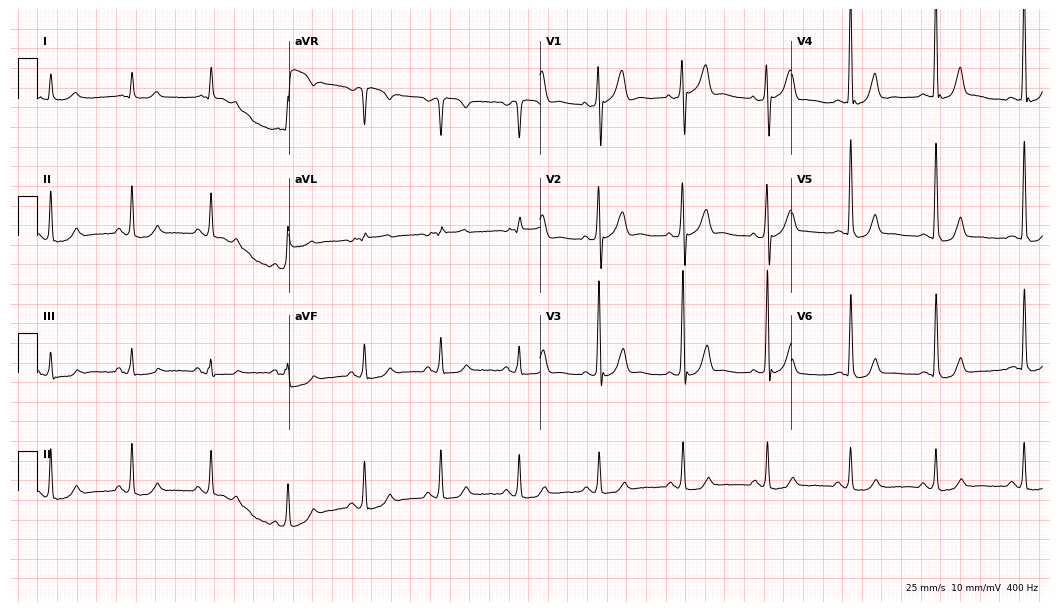
ECG (10.2-second recording at 400 Hz) — a male patient, 77 years old. Labelled as a normal ECG.